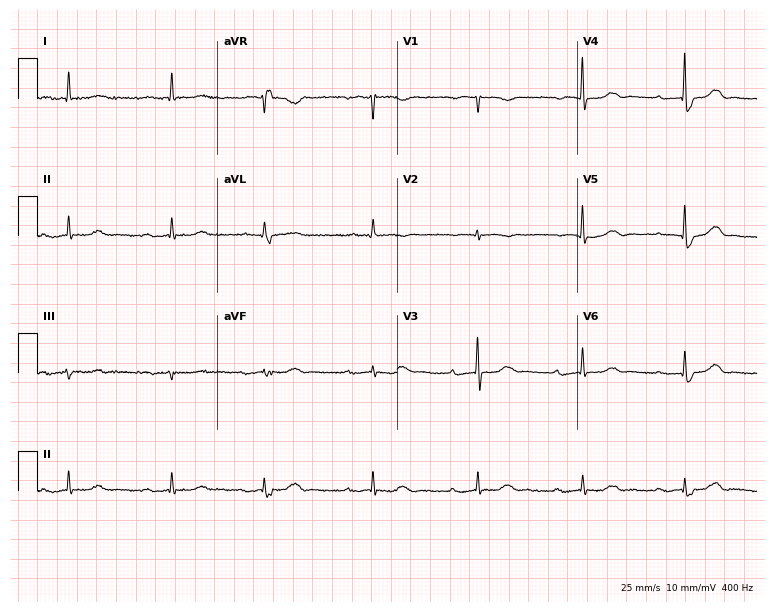
12-lead ECG from an 85-year-old woman. No first-degree AV block, right bundle branch block (RBBB), left bundle branch block (LBBB), sinus bradycardia, atrial fibrillation (AF) or sinus tachycardia recorded for this tracing.